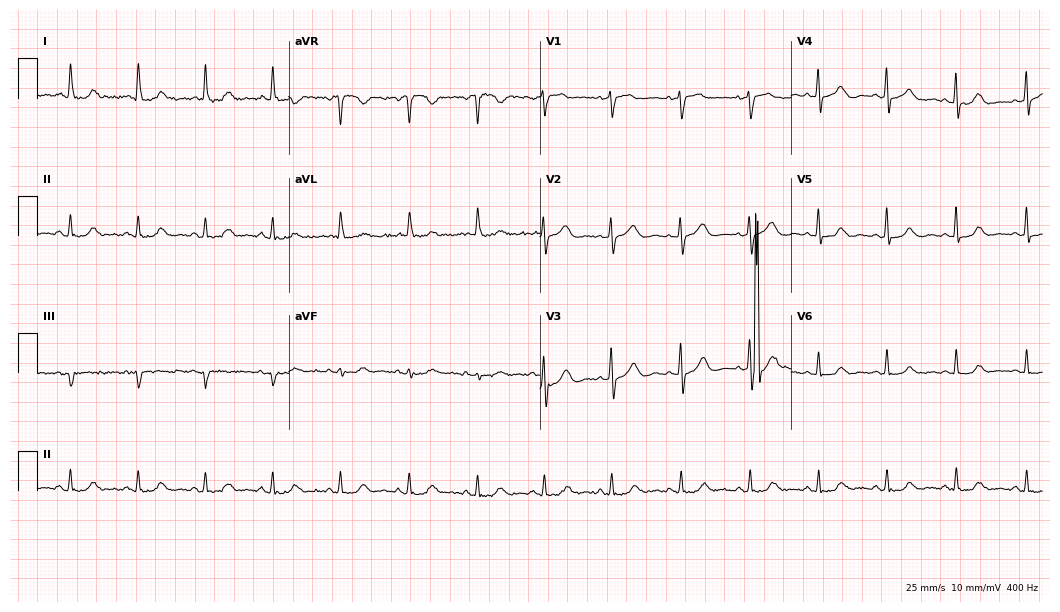
ECG — a female, 68 years old. Screened for six findings — first-degree AV block, right bundle branch block (RBBB), left bundle branch block (LBBB), sinus bradycardia, atrial fibrillation (AF), sinus tachycardia — none is recorded. Only these six findings were labelled.